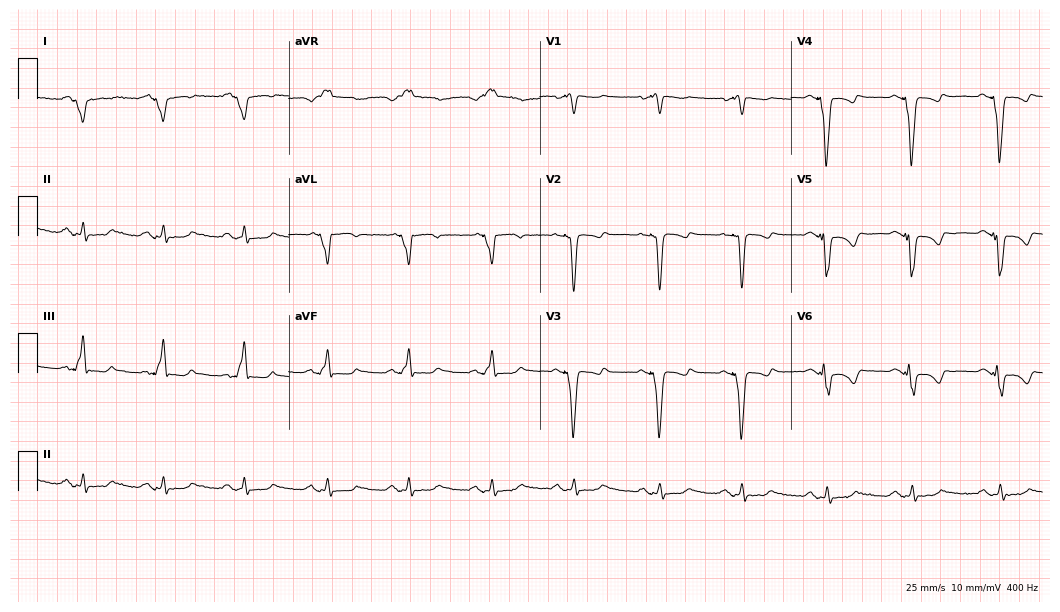
Electrocardiogram (10.2-second recording at 400 Hz), a 55-year-old female patient. Of the six screened findings (first-degree AV block, right bundle branch block (RBBB), left bundle branch block (LBBB), sinus bradycardia, atrial fibrillation (AF), sinus tachycardia), none is recorded. Findings outside these six are not listed.